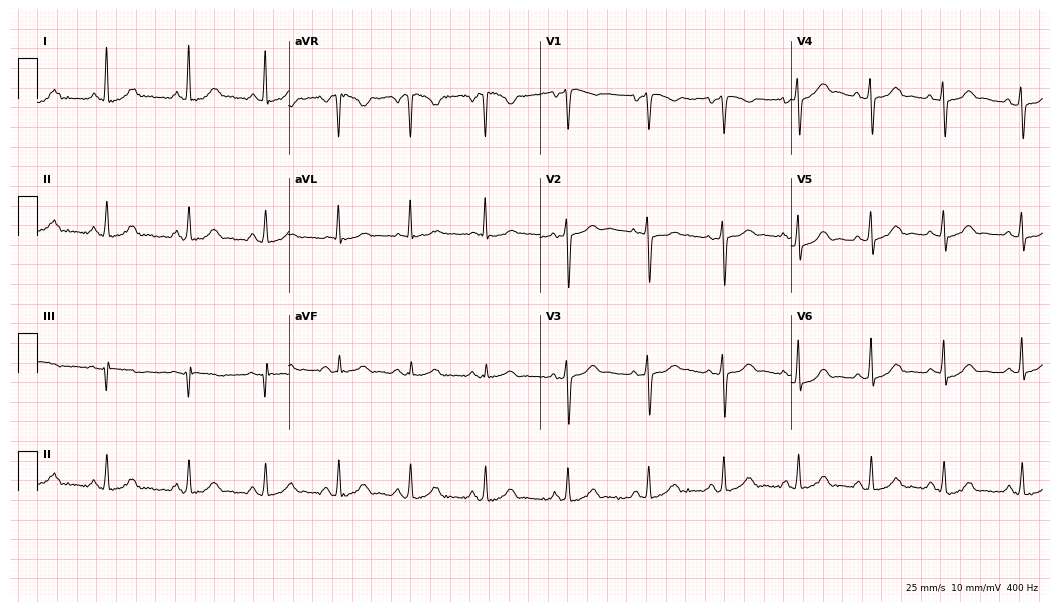
ECG (10.2-second recording at 400 Hz) — a 46-year-old female patient. Labelled as a normal ECG.